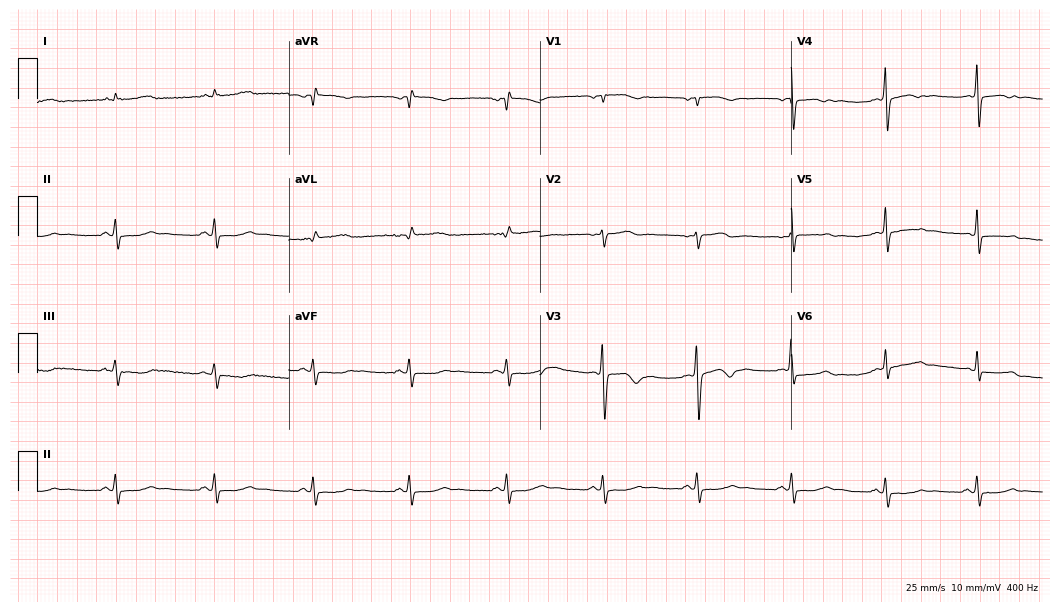
12-lead ECG from a female patient, 48 years old. Screened for six findings — first-degree AV block, right bundle branch block, left bundle branch block, sinus bradycardia, atrial fibrillation, sinus tachycardia — none is recorded. Findings outside these six are not listed.